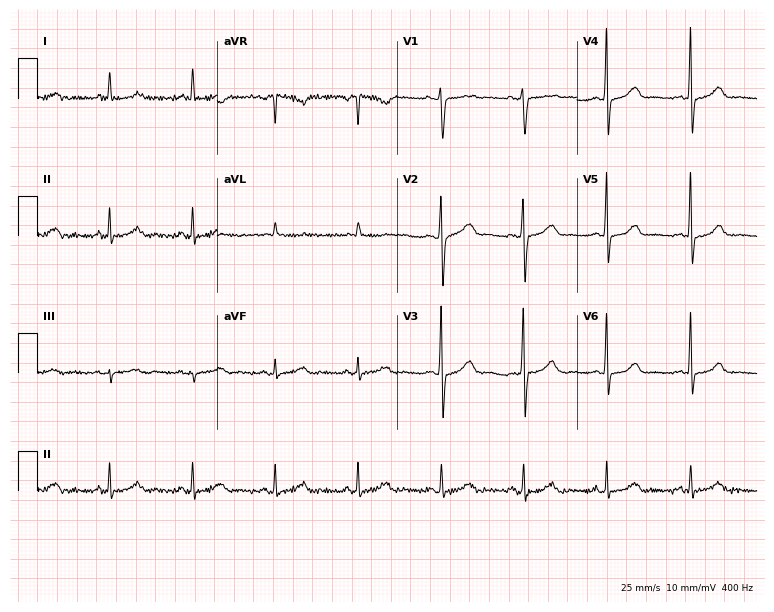
Standard 12-lead ECG recorded from a female patient, 56 years old. Read as a normal ECG.